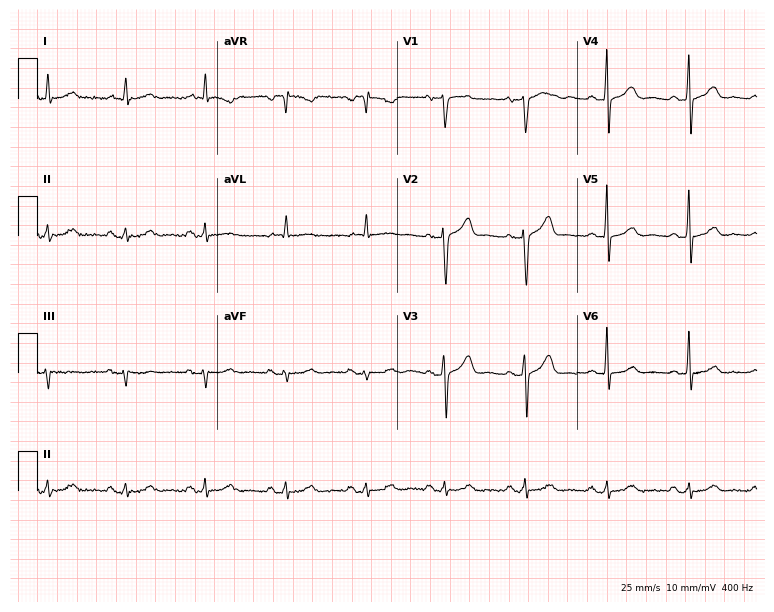
12-lead ECG from a male, 62 years old. Recorded interpretation: within normal limits.